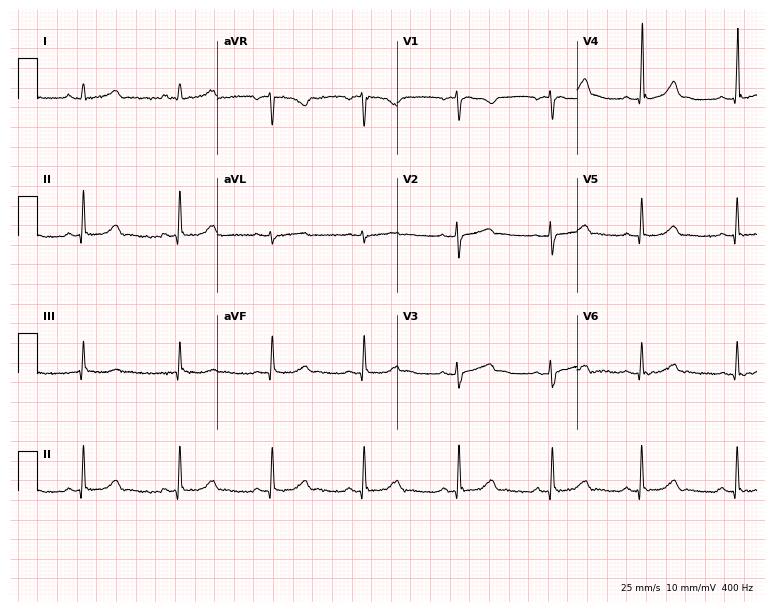
12-lead ECG from a woman, 28 years old. No first-degree AV block, right bundle branch block, left bundle branch block, sinus bradycardia, atrial fibrillation or sinus tachycardia recorded for this tracing. Findings outside these six are not listed.